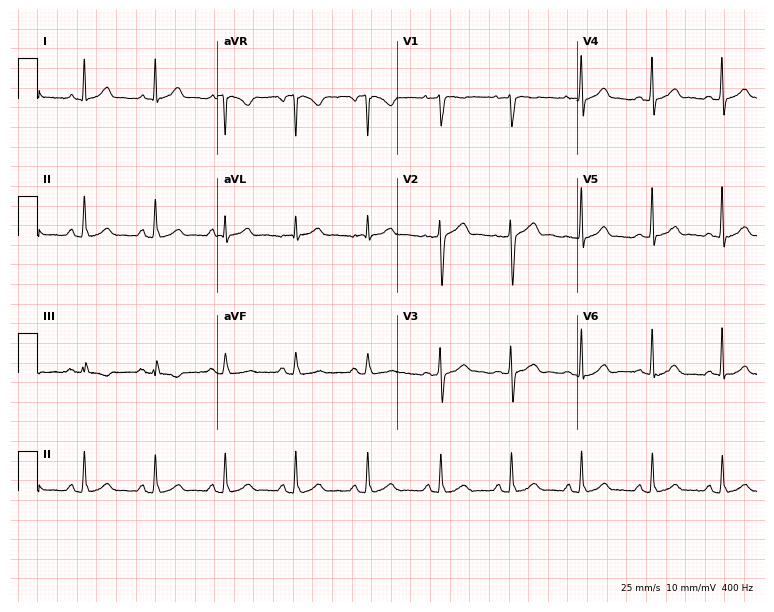
ECG (7.3-second recording at 400 Hz) — a 45-year-old female patient. Labelled as a normal ECG.